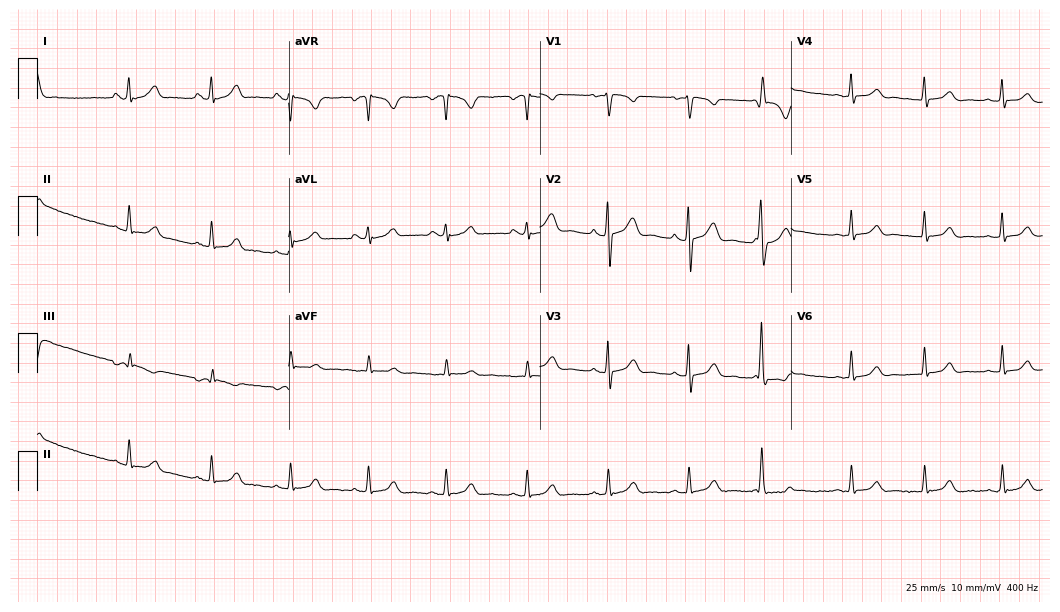
12-lead ECG from a female patient, 26 years old. No first-degree AV block, right bundle branch block (RBBB), left bundle branch block (LBBB), sinus bradycardia, atrial fibrillation (AF) or sinus tachycardia recorded for this tracing.